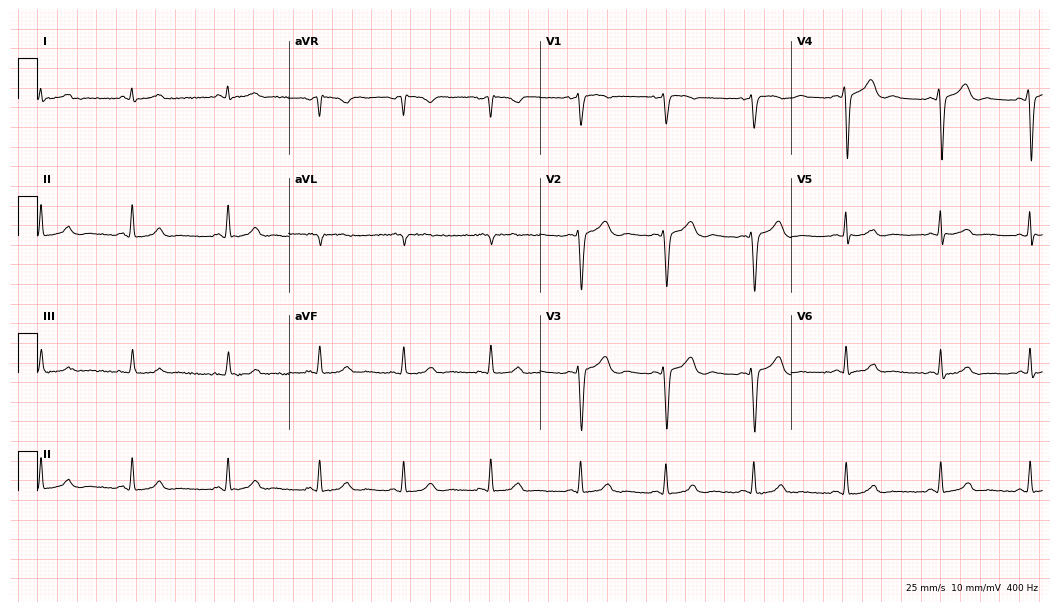
Electrocardiogram, a 36-year-old female patient. Overall reading on record: normal ECG.